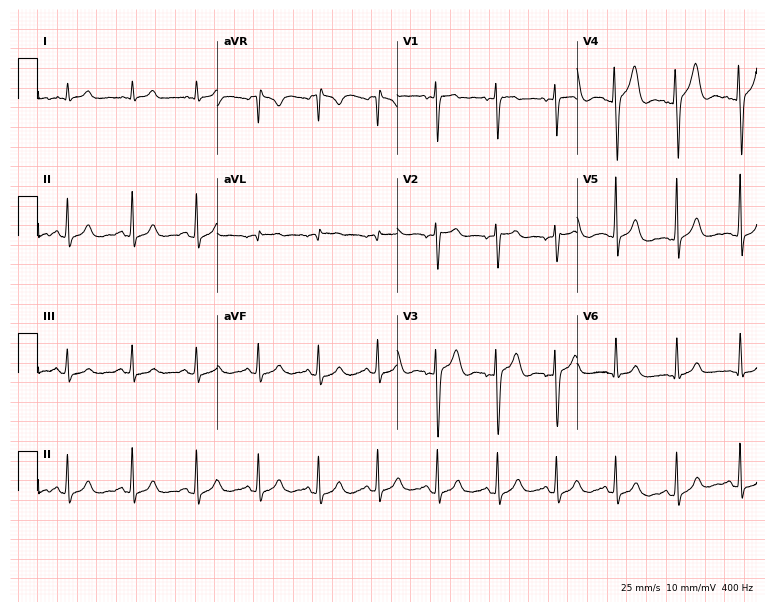
ECG (7.3-second recording at 400 Hz) — a 21-year-old male. Labelled as a normal ECG.